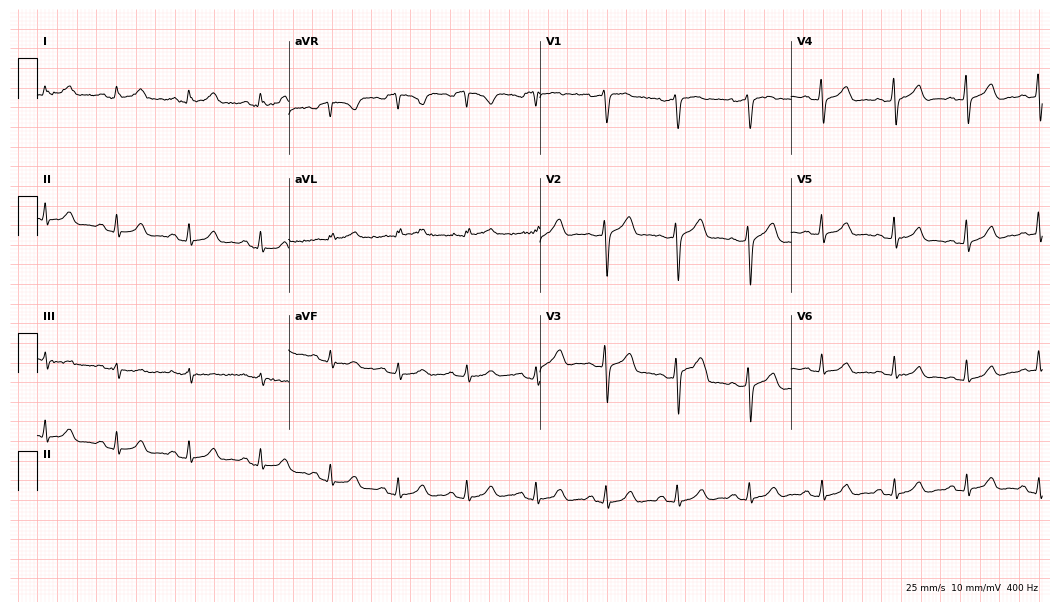
Electrocardiogram, a 46-year-old male patient. Of the six screened findings (first-degree AV block, right bundle branch block, left bundle branch block, sinus bradycardia, atrial fibrillation, sinus tachycardia), none is recorded. Findings outside these six are not listed.